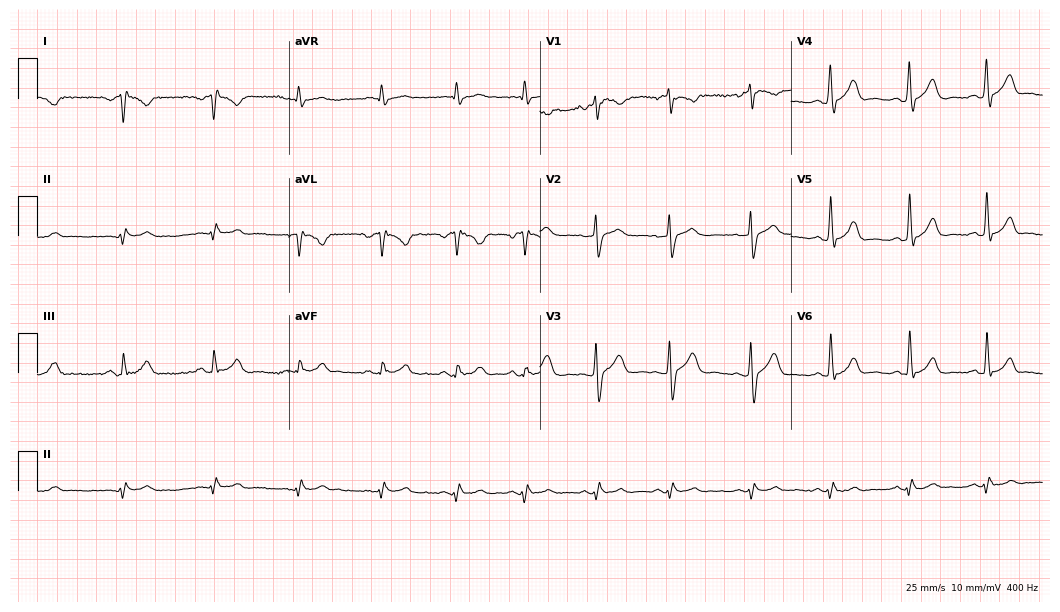
Electrocardiogram (10.2-second recording at 400 Hz), a 45-year-old male. Of the six screened findings (first-degree AV block, right bundle branch block, left bundle branch block, sinus bradycardia, atrial fibrillation, sinus tachycardia), none is recorded.